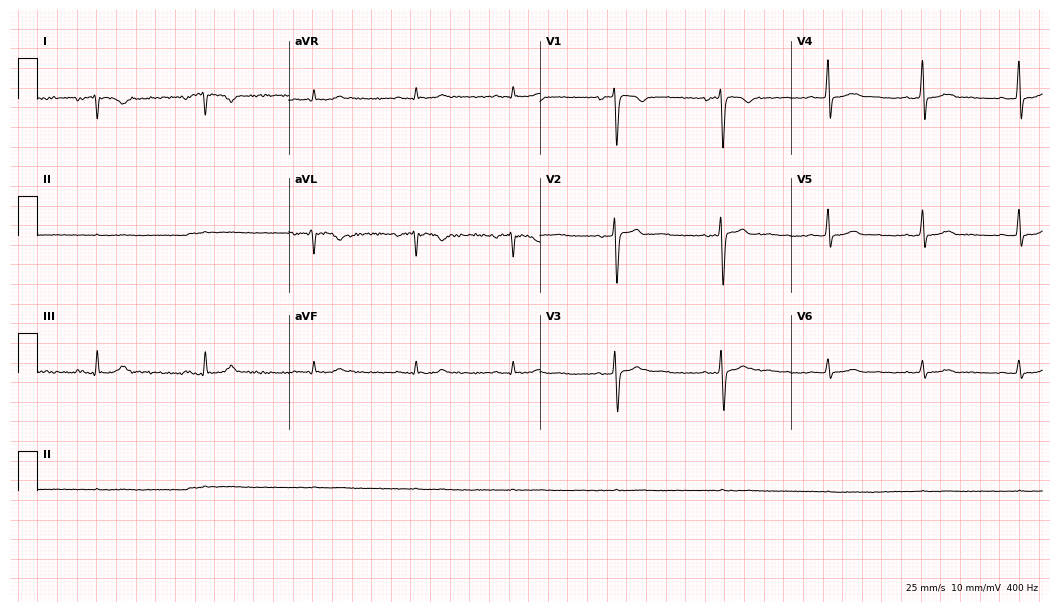
ECG — a female, 23 years old. Screened for six findings — first-degree AV block, right bundle branch block, left bundle branch block, sinus bradycardia, atrial fibrillation, sinus tachycardia — none is recorded. Findings outside these six are not listed.